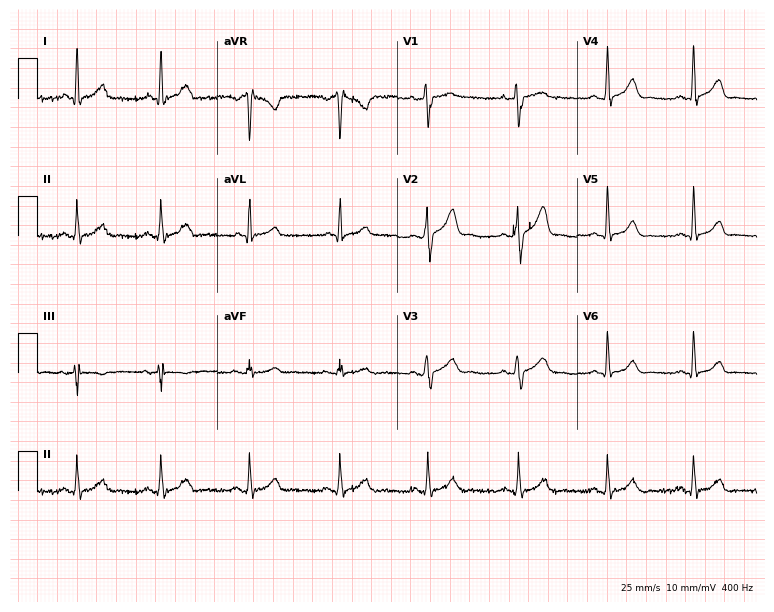
Resting 12-lead electrocardiogram. Patient: a 31-year-old man. Read as a normal ECG.